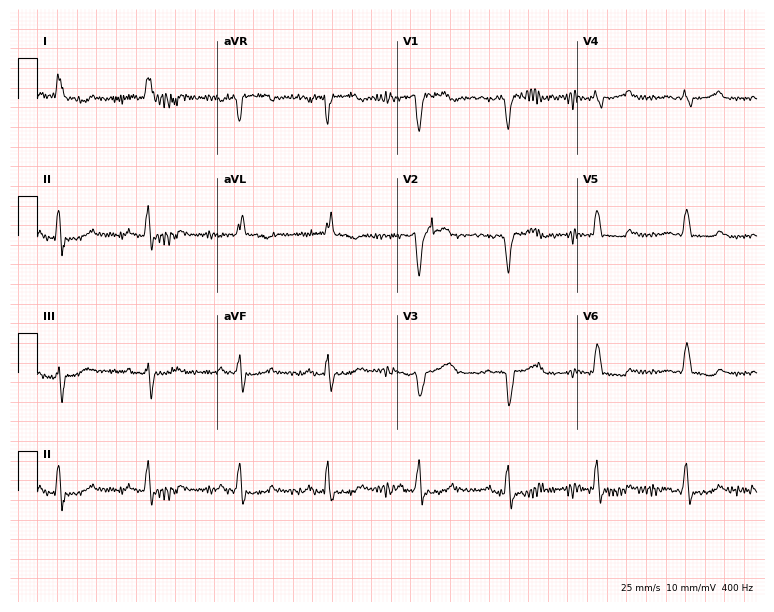
Standard 12-lead ECG recorded from a 69-year-old woman. None of these six findings is recorded: first-degree AV block, right bundle branch block, left bundle branch block, sinus bradycardia, atrial fibrillation, sinus tachycardia. Other findings, if any, are not listed.